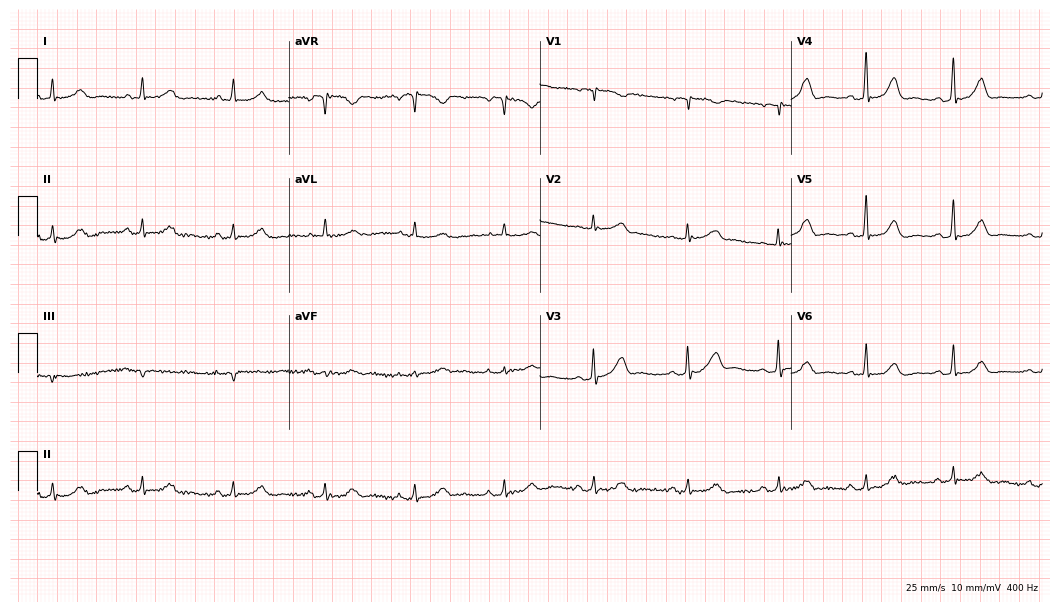
12-lead ECG from a 63-year-old woman. Recorded interpretation: within normal limits.